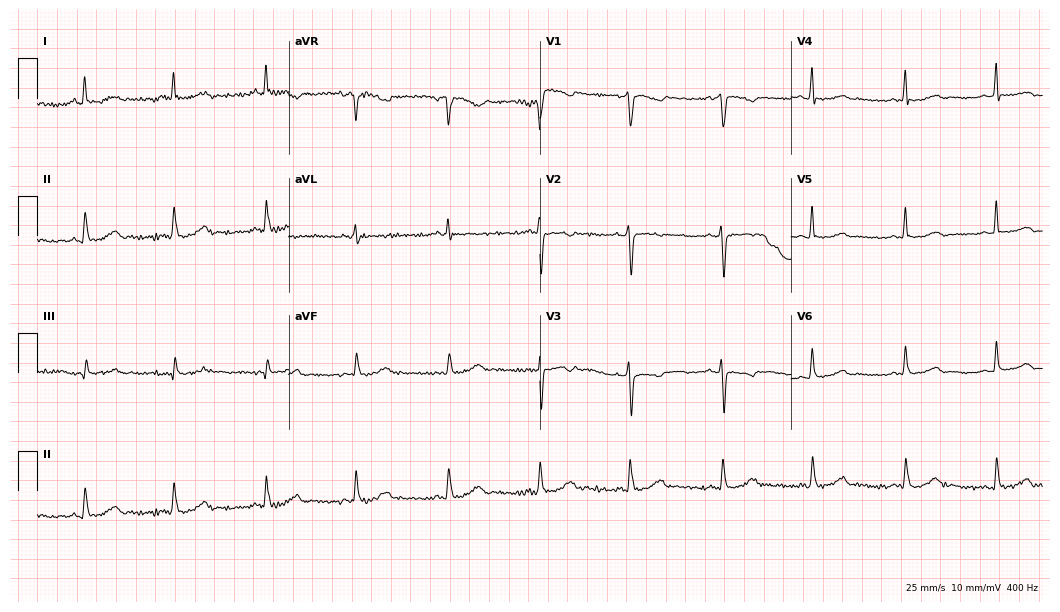
12-lead ECG (10.2-second recording at 400 Hz) from a woman, 59 years old. Screened for six findings — first-degree AV block, right bundle branch block, left bundle branch block, sinus bradycardia, atrial fibrillation, sinus tachycardia — none is recorded. Only these six findings were labelled.